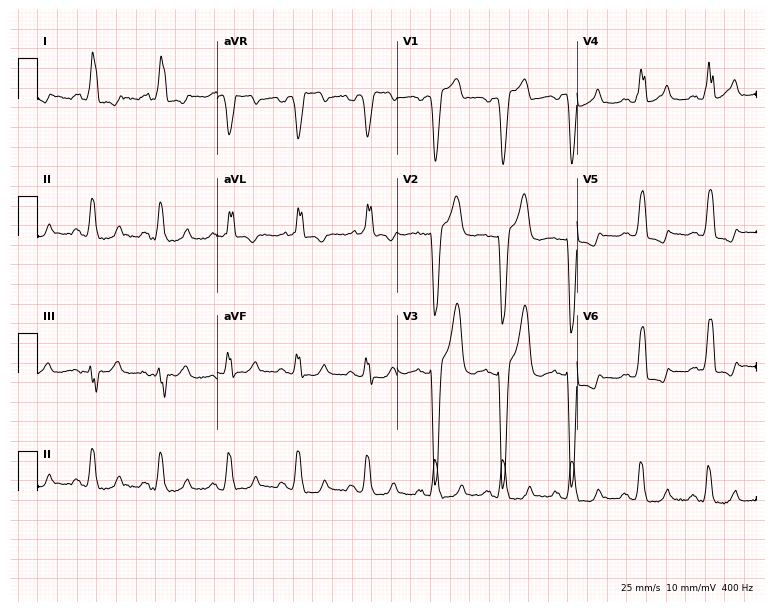
12-lead ECG from a 77-year-old woman. Findings include left bundle branch block.